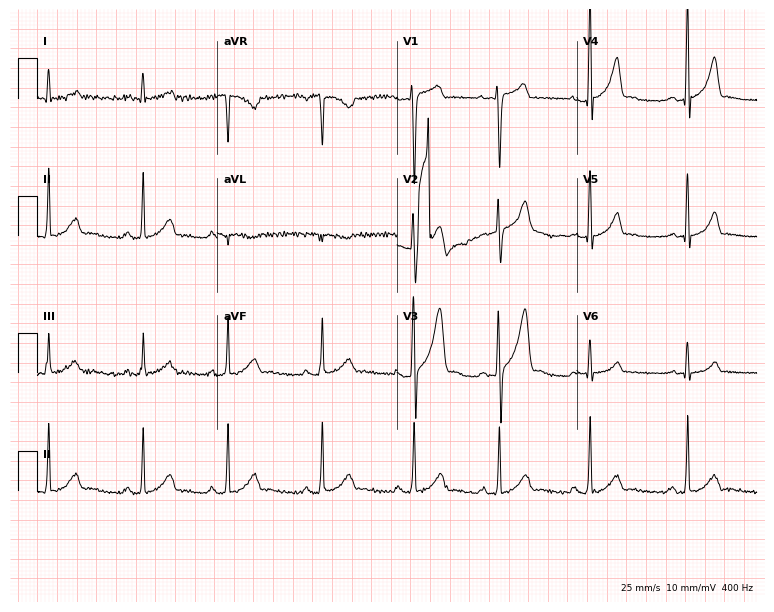
Standard 12-lead ECG recorded from a man, 20 years old. Read as a normal ECG.